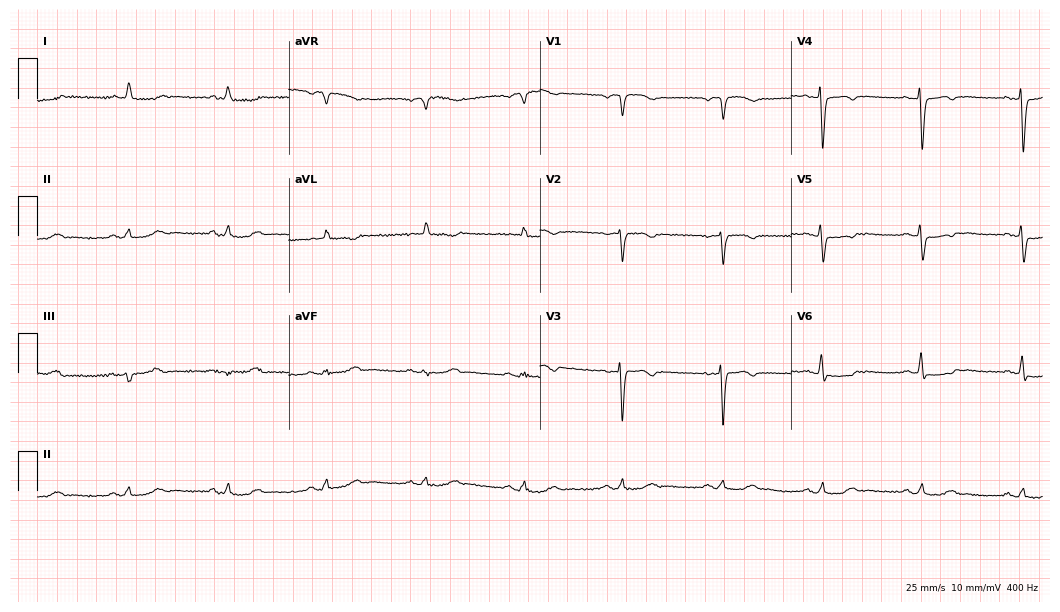
12-lead ECG from an 82-year-old female. No first-degree AV block, right bundle branch block (RBBB), left bundle branch block (LBBB), sinus bradycardia, atrial fibrillation (AF) or sinus tachycardia recorded for this tracing. Findings outside these six are not listed.